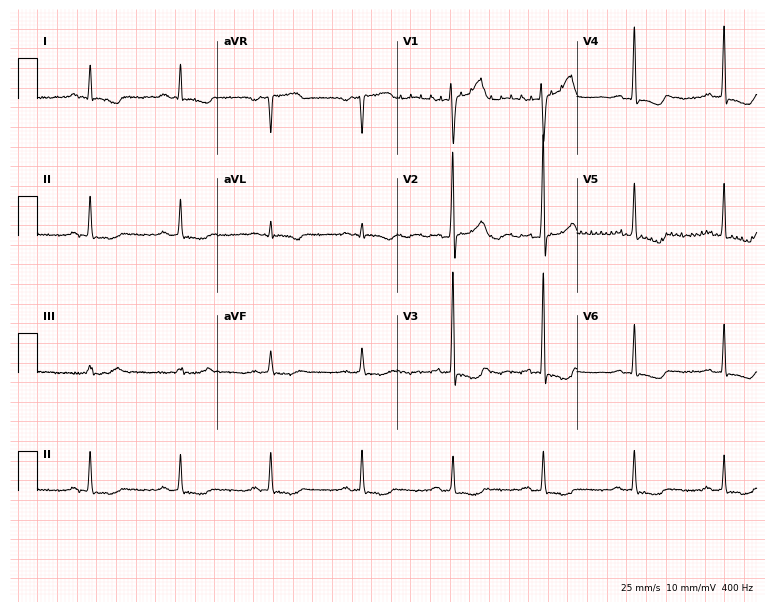
Electrocardiogram (7.3-second recording at 400 Hz), a 65-year-old male. Of the six screened findings (first-degree AV block, right bundle branch block, left bundle branch block, sinus bradycardia, atrial fibrillation, sinus tachycardia), none is recorded. Findings outside these six are not listed.